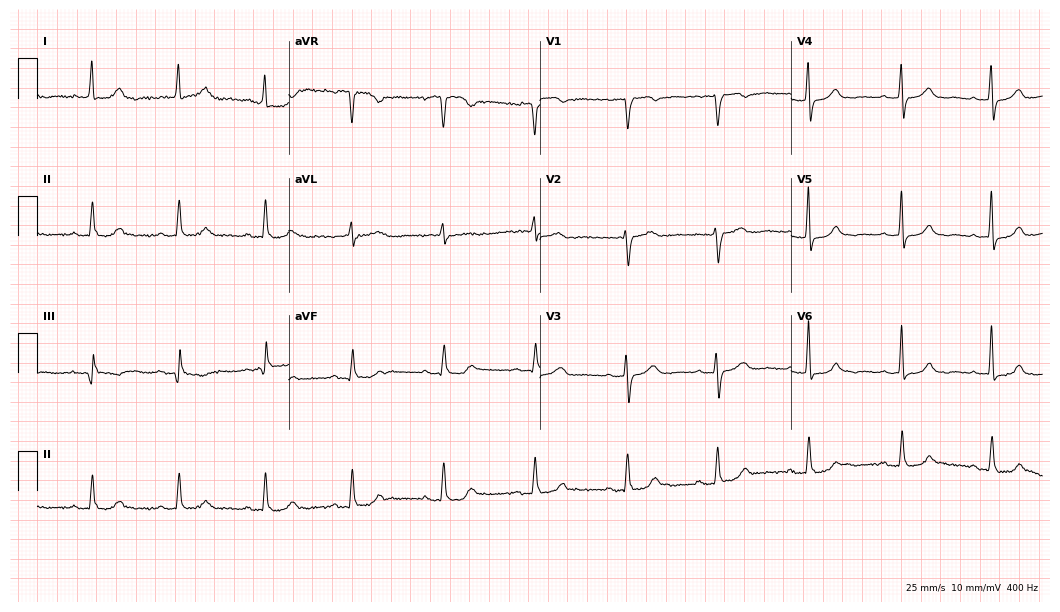
ECG (10.2-second recording at 400 Hz) — a female patient, 77 years old. Labelled as a normal ECG.